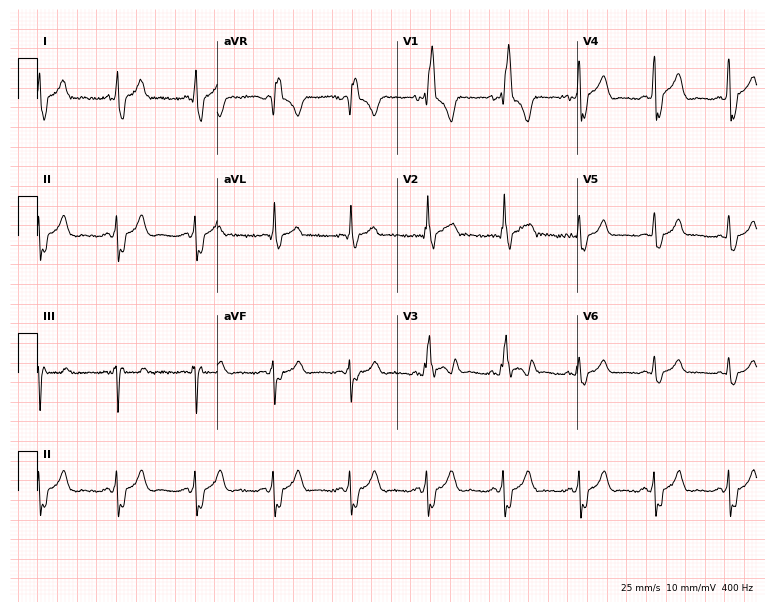
Standard 12-lead ECG recorded from a male, 32 years old (7.3-second recording at 400 Hz). The tracing shows right bundle branch block.